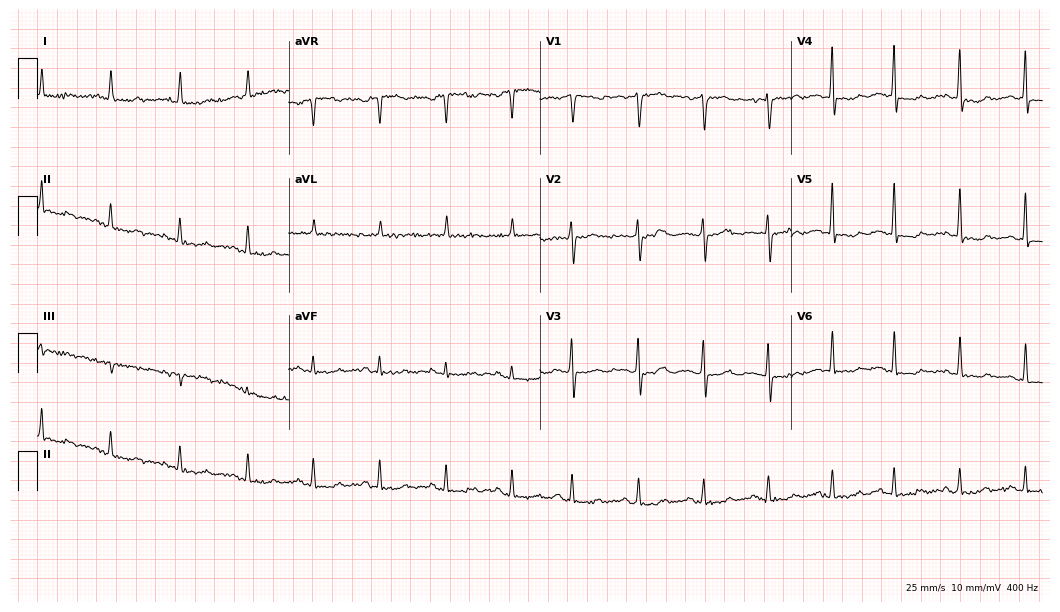
12-lead ECG from a 63-year-old female patient (10.2-second recording at 400 Hz). No first-degree AV block, right bundle branch block, left bundle branch block, sinus bradycardia, atrial fibrillation or sinus tachycardia recorded for this tracing.